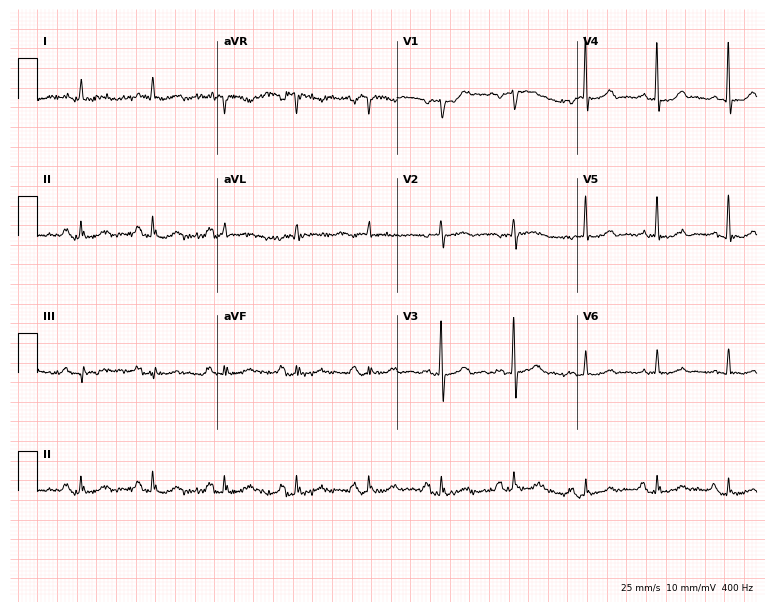
Electrocardiogram (7.3-second recording at 400 Hz), an 84-year-old man. Of the six screened findings (first-degree AV block, right bundle branch block, left bundle branch block, sinus bradycardia, atrial fibrillation, sinus tachycardia), none is recorded.